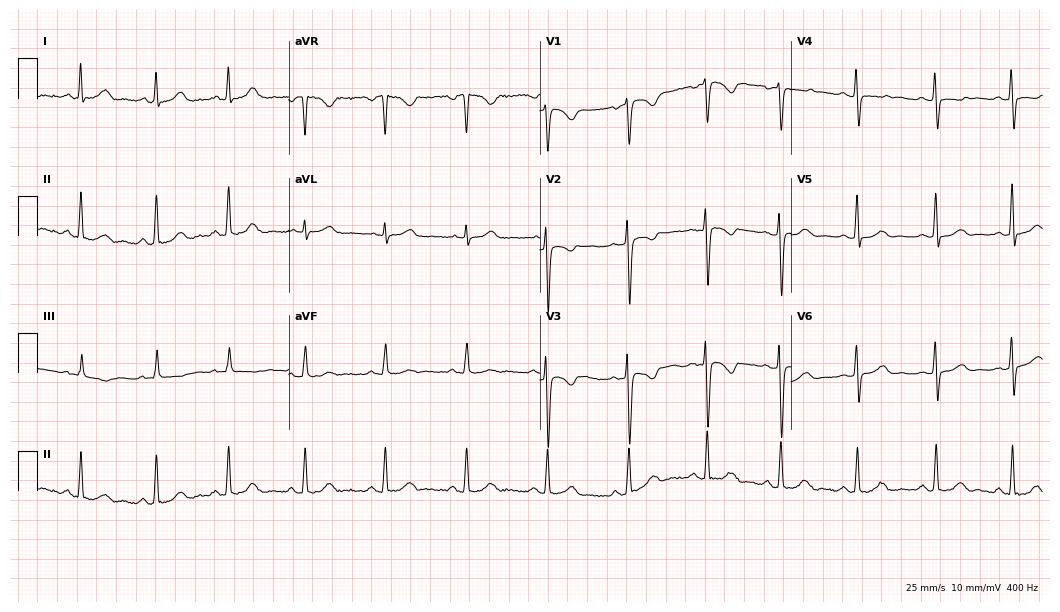
12-lead ECG from a female patient, 29 years old. No first-degree AV block, right bundle branch block, left bundle branch block, sinus bradycardia, atrial fibrillation or sinus tachycardia recorded for this tracing.